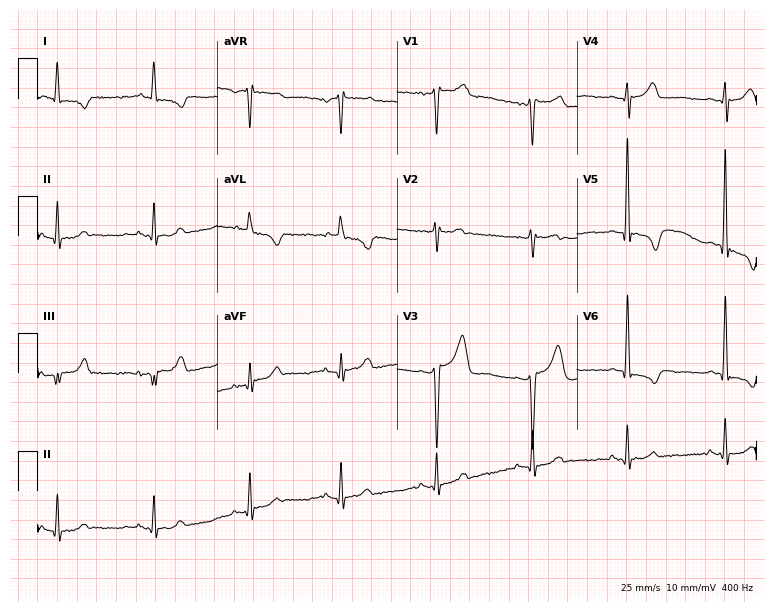
Resting 12-lead electrocardiogram (7.3-second recording at 400 Hz). Patient: a female, 63 years old. None of these six findings is recorded: first-degree AV block, right bundle branch block, left bundle branch block, sinus bradycardia, atrial fibrillation, sinus tachycardia. Other findings, if any, are not listed.